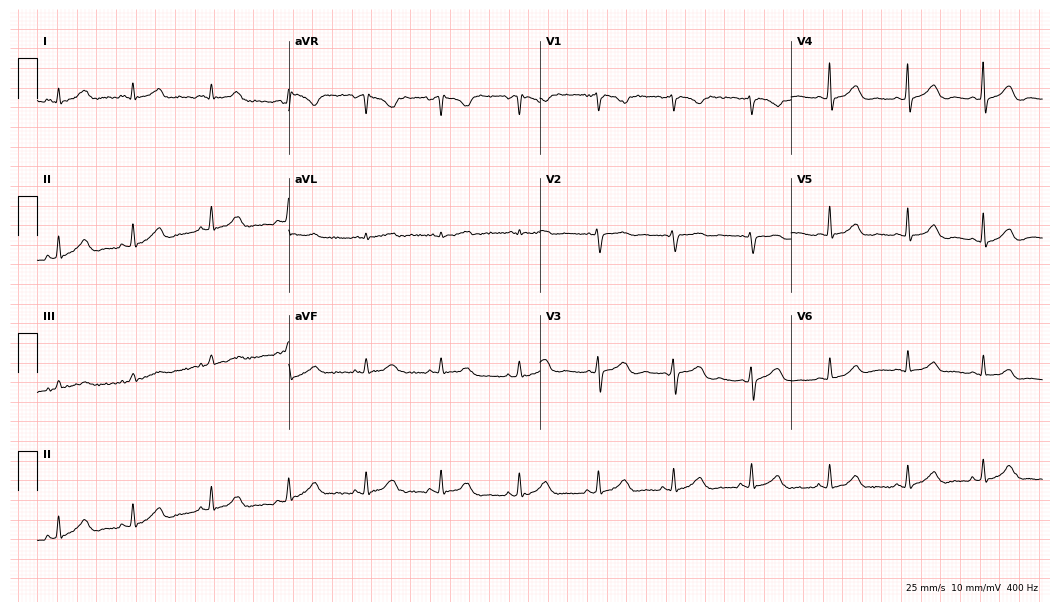
Standard 12-lead ECG recorded from a 30-year-old woman (10.2-second recording at 400 Hz). Read as a normal ECG.